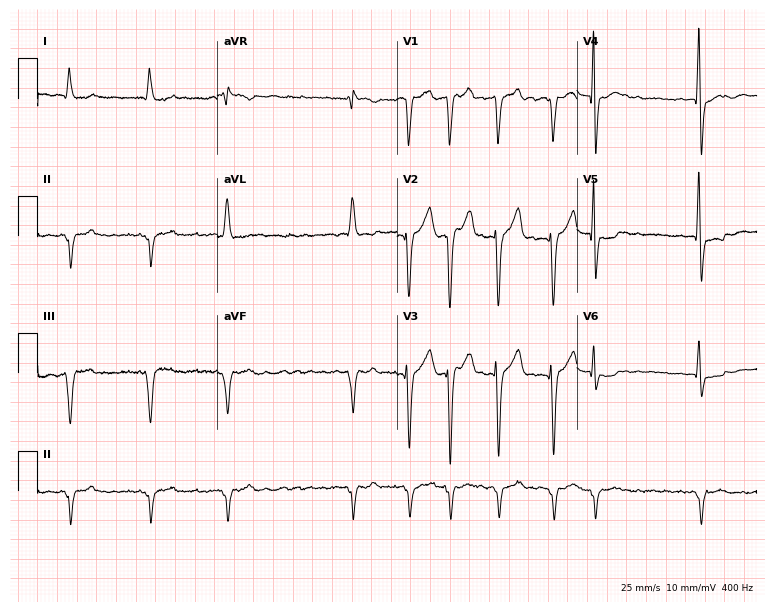
Electrocardiogram (7.3-second recording at 400 Hz), a man, 79 years old. Interpretation includes atrial fibrillation.